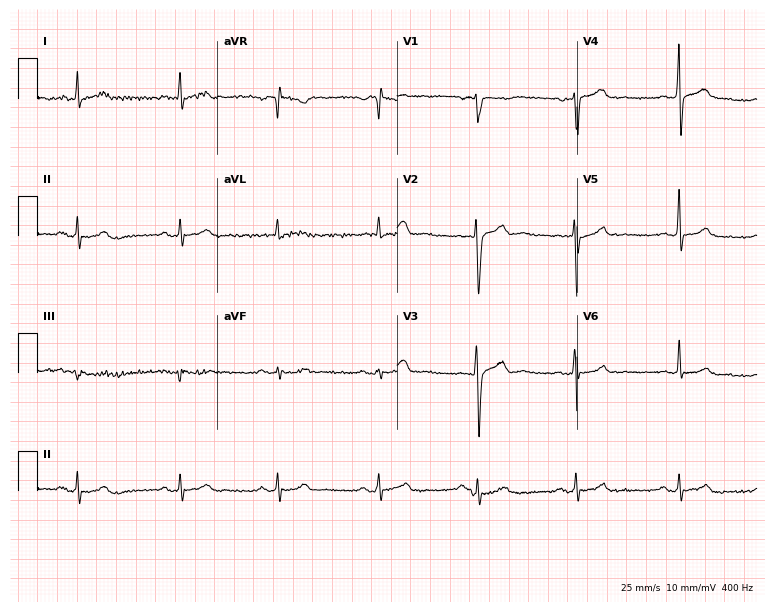
Electrocardiogram, a 32-year-old man. Overall reading on record: normal ECG.